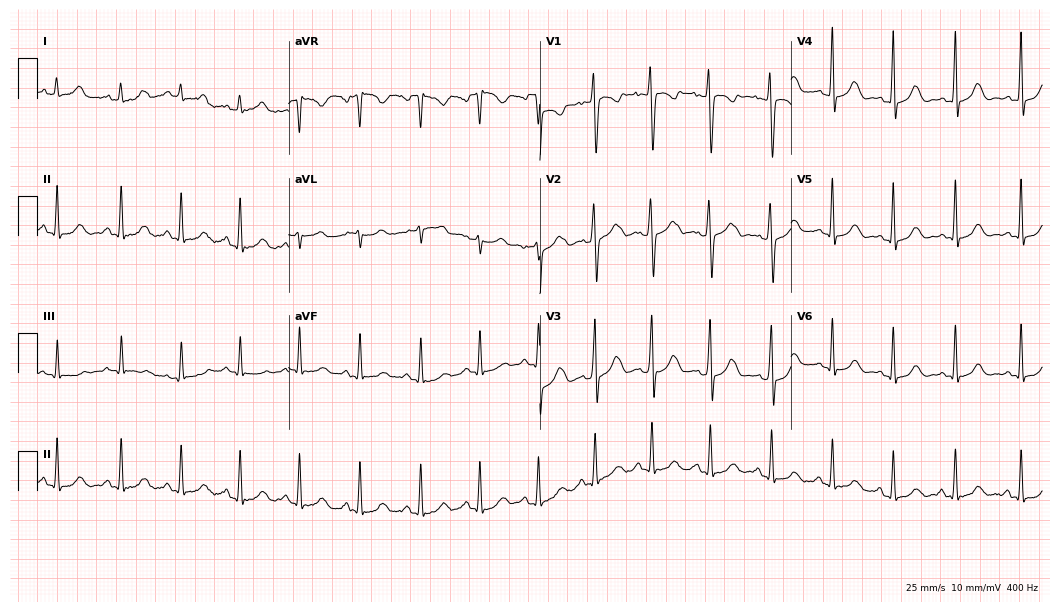
12-lead ECG from a female patient, 21 years old. Labelled as a normal ECG.